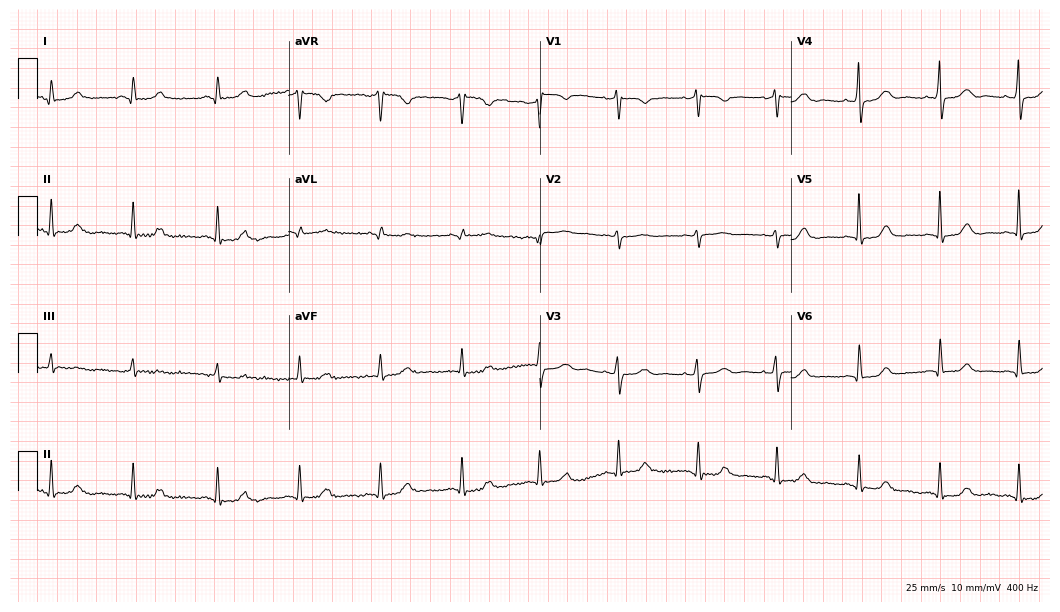
12-lead ECG (10.2-second recording at 400 Hz) from a female patient, 41 years old. Screened for six findings — first-degree AV block, right bundle branch block, left bundle branch block, sinus bradycardia, atrial fibrillation, sinus tachycardia — none is recorded. Findings outside these six are not listed.